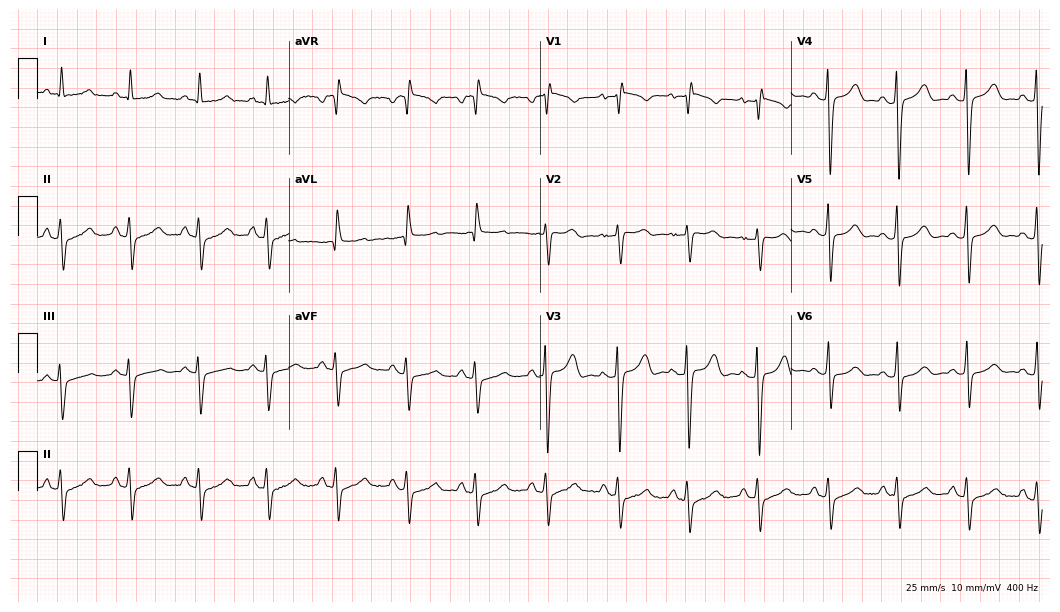
Resting 12-lead electrocardiogram. Patient: a 28-year-old female. None of these six findings is recorded: first-degree AV block, right bundle branch block, left bundle branch block, sinus bradycardia, atrial fibrillation, sinus tachycardia.